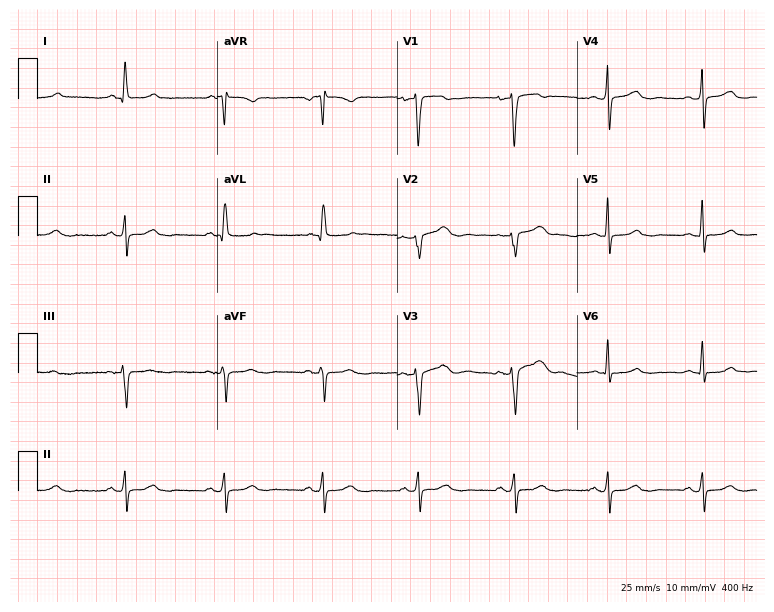
12-lead ECG from a female, 71 years old (7.3-second recording at 400 Hz). No first-degree AV block, right bundle branch block (RBBB), left bundle branch block (LBBB), sinus bradycardia, atrial fibrillation (AF) or sinus tachycardia recorded for this tracing. Only these six findings were labelled.